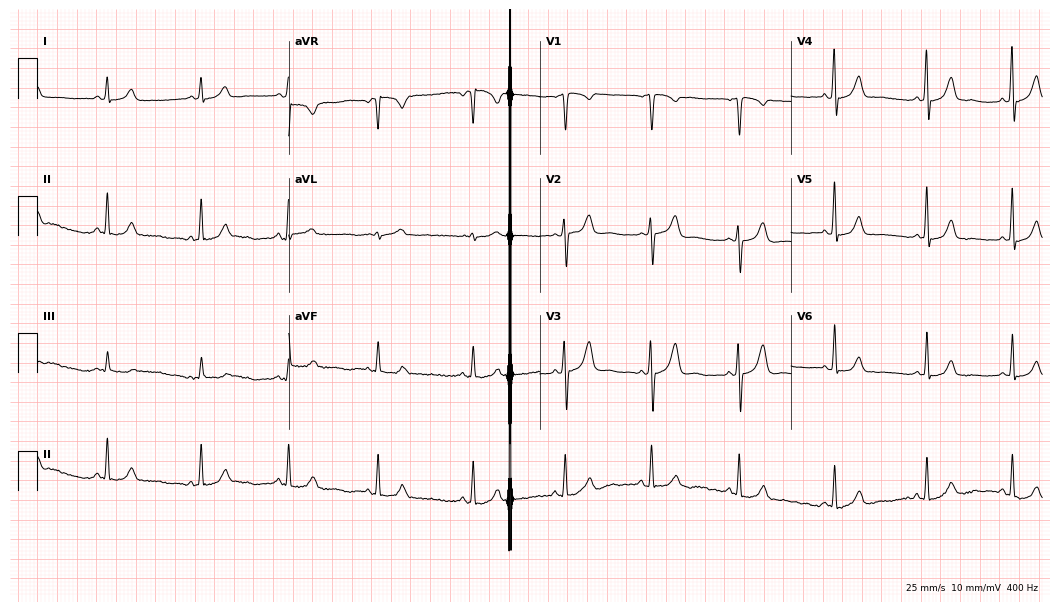
Standard 12-lead ECG recorded from a 27-year-old female patient. Read as a normal ECG.